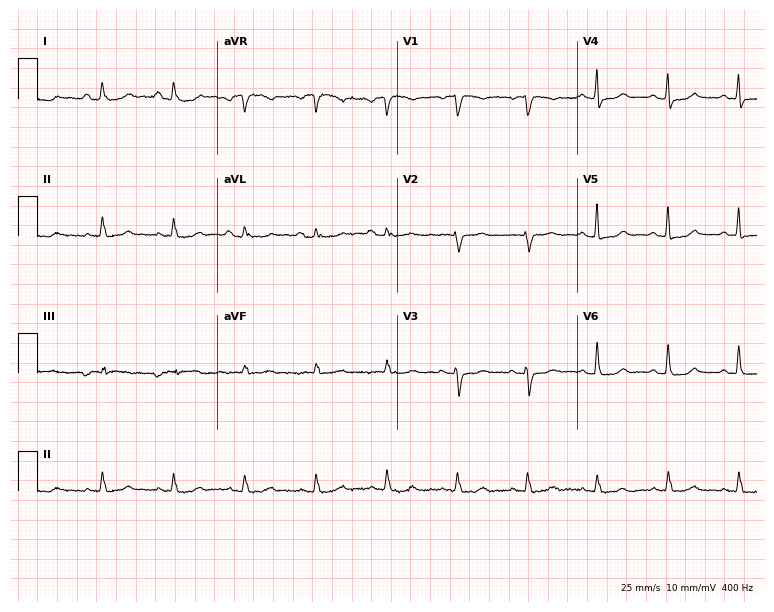
Standard 12-lead ECG recorded from an 81-year-old female patient (7.3-second recording at 400 Hz). Read as a normal ECG.